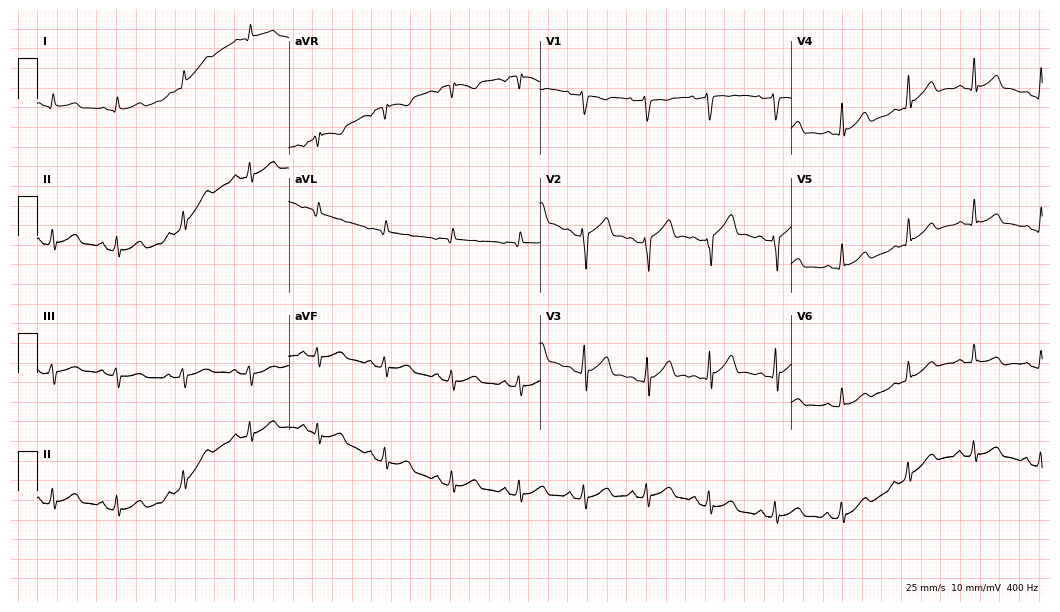
Resting 12-lead electrocardiogram. Patient: a 35-year-old male. Read as a normal ECG.